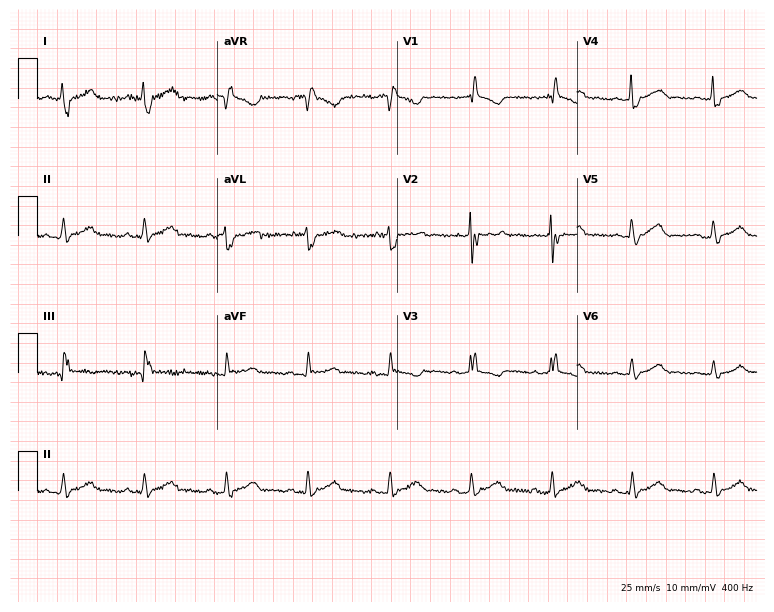
Resting 12-lead electrocardiogram (7.3-second recording at 400 Hz). Patient: a 77-year-old woman. The tracing shows right bundle branch block (RBBB).